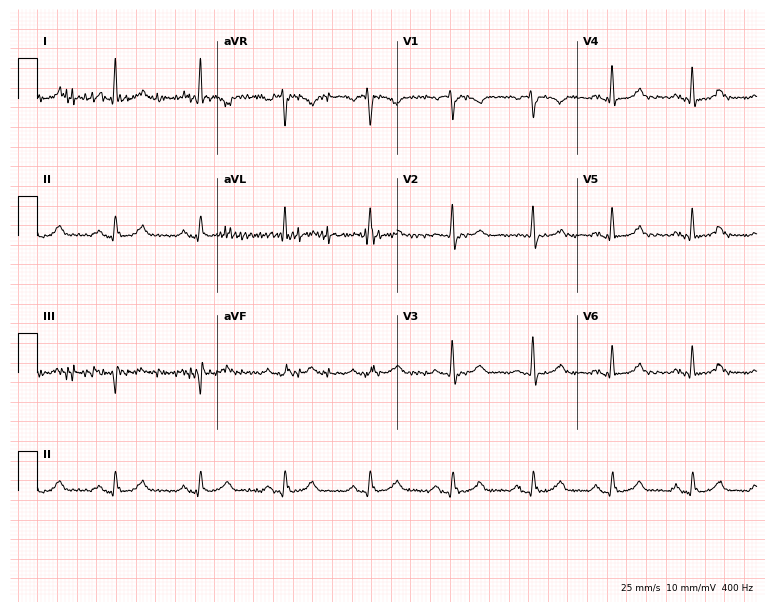
ECG (7.3-second recording at 400 Hz) — a 73-year-old female patient. Labelled as a normal ECG.